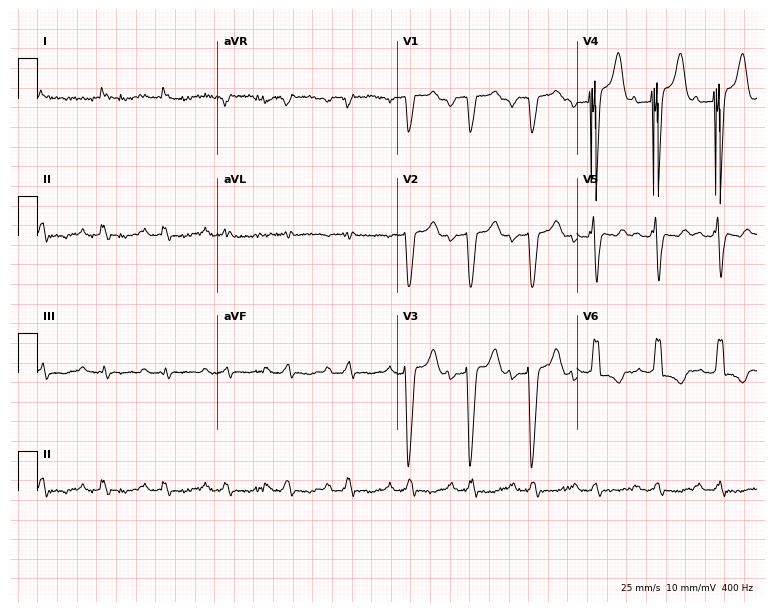
ECG — a female patient, 73 years old. Findings include first-degree AV block, left bundle branch block.